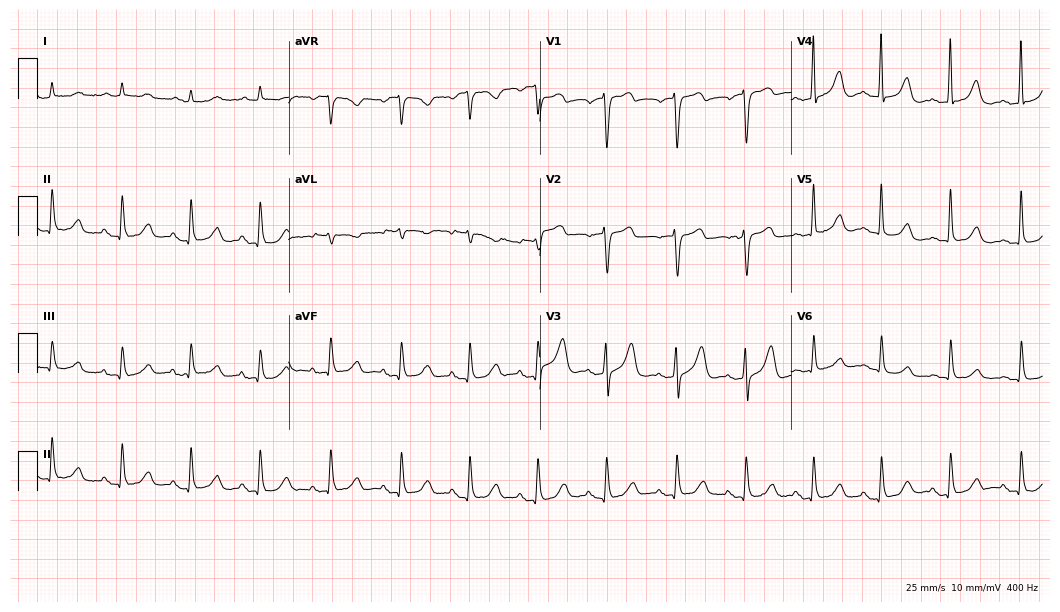
Standard 12-lead ECG recorded from an 84-year-old male. None of these six findings is recorded: first-degree AV block, right bundle branch block, left bundle branch block, sinus bradycardia, atrial fibrillation, sinus tachycardia.